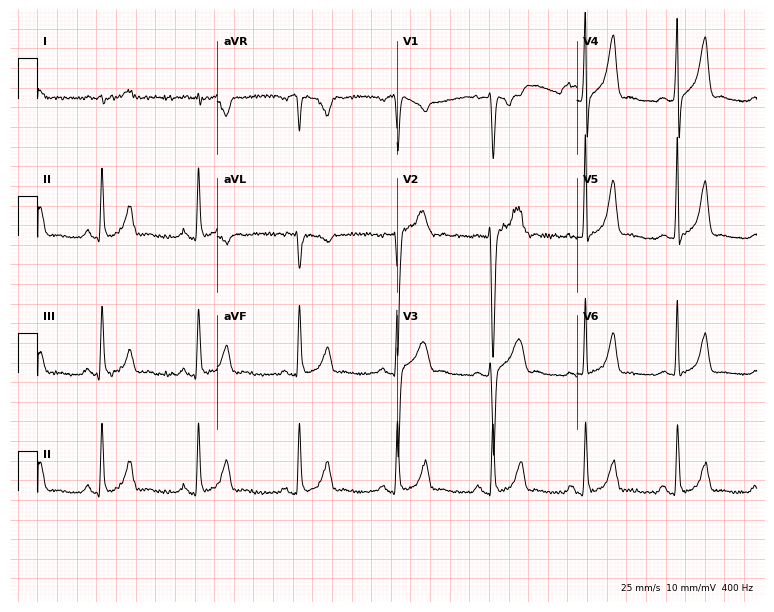
12-lead ECG from a 31-year-old male patient. Recorded interpretation: within normal limits.